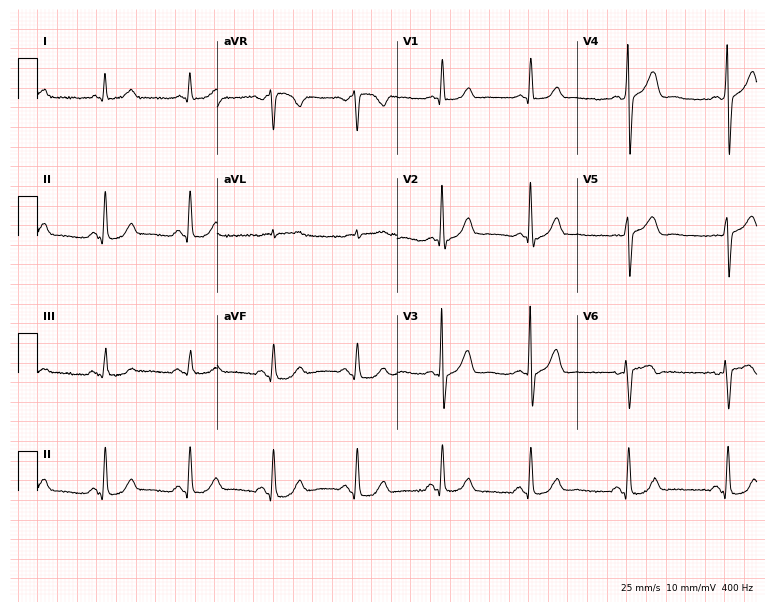
Standard 12-lead ECG recorded from a 55-year-old man. None of these six findings is recorded: first-degree AV block, right bundle branch block (RBBB), left bundle branch block (LBBB), sinus bradycardia, atrial fibrillation (AF), sinus tachycardia.